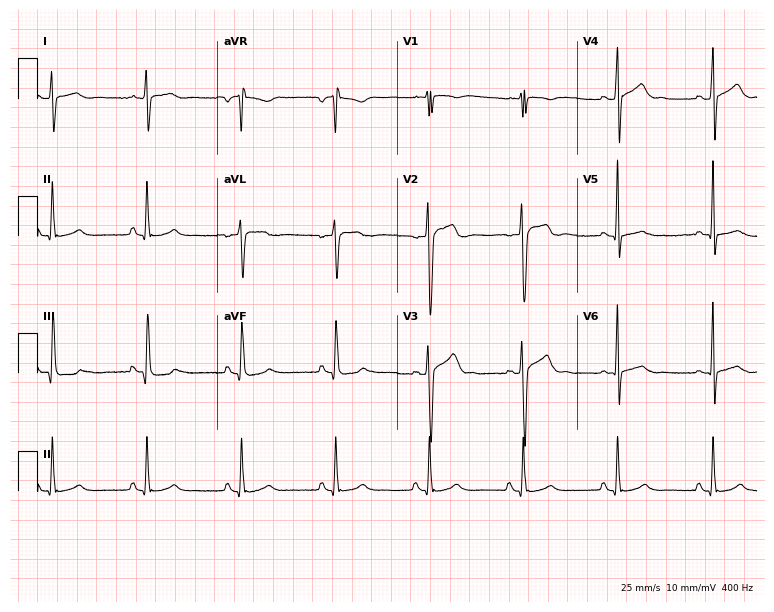
Electrocardiogram, a 19-year-old male patient. Overall reading on record: normal ECG.